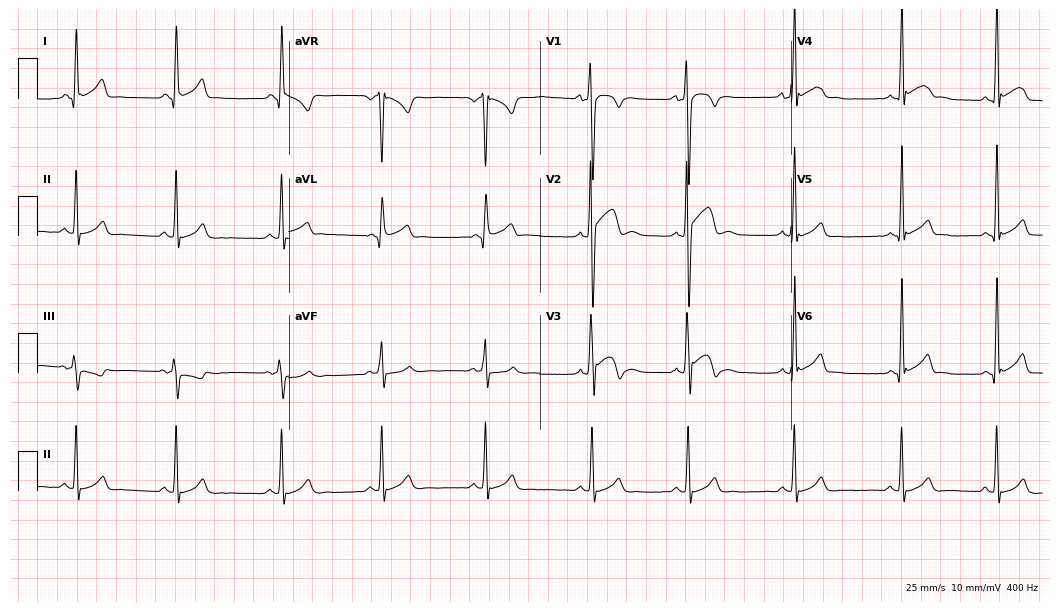
Standard 12-lead ECG recorded from a male patient, 17 years old (10.2-second recording at 400 Hz). Read as a normal ECG.